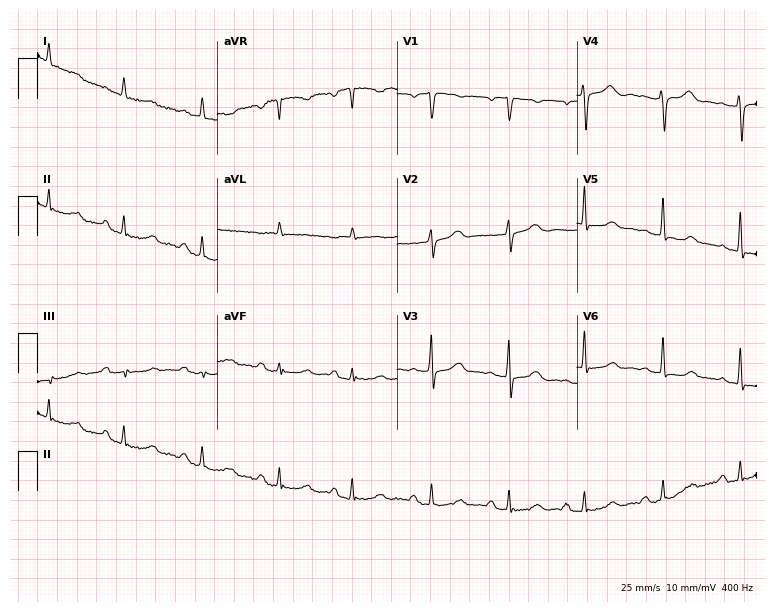
ECG (7.3-second recording at 400 Hz) — a 56-year-old woman. Screened for six findings — first-degree AV block, right bundle branch block, left bundle branch block, sinus bradycardia, atrial fibrillation, sinus tachycardia — none is recorded.